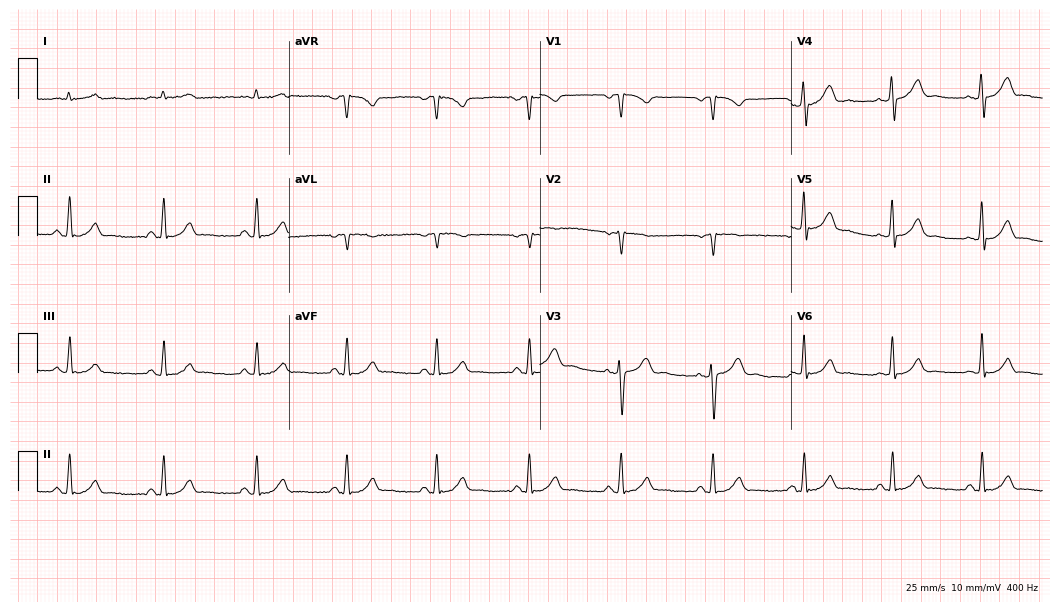
Electrocardiogram, a 61-year-old male patient. Overall reading on record: normal ECG.